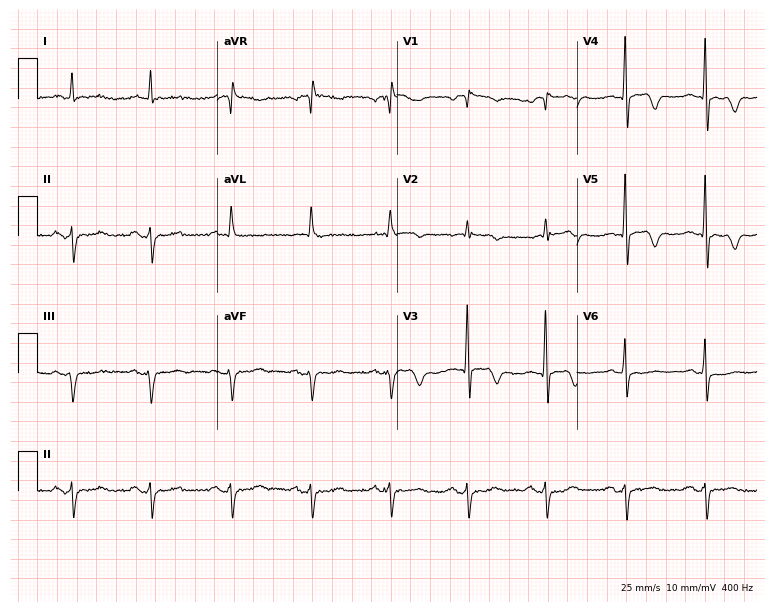
Resting 12-lead electrocardiogram (7.3-second recording at 400 Hz). Patient: a male, 71 years old. None of these six findings is recorded: first-degree AV block, right bundle branch block, left bundle branch block, sinus bradycardia, atrial fibrillation, sinus tachycardia. Only these six findings were labelled.